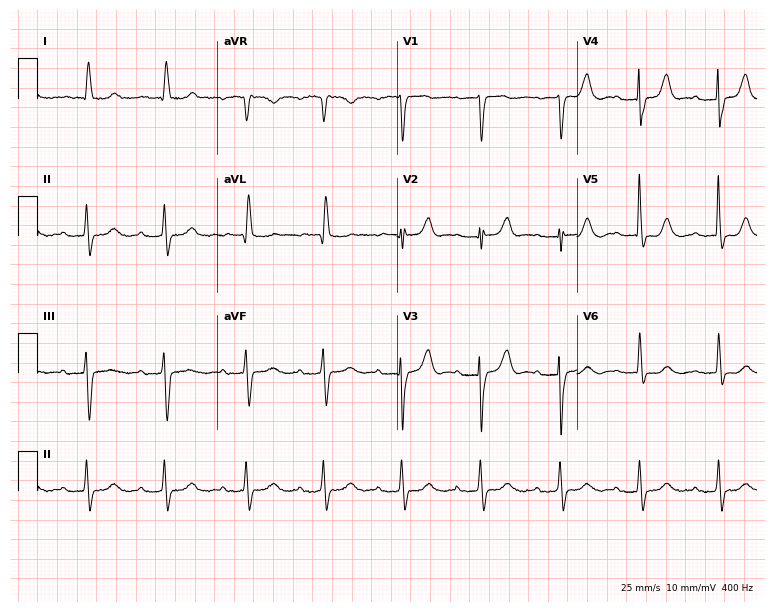
Electrocardiogram, an 87-year-old female. Of the six screened findings (first-degree AV block, right bundle branch block, left bundle branch block, sinus bradycardia, atrial fibrillation, sinus tachycardia), none is recorded.